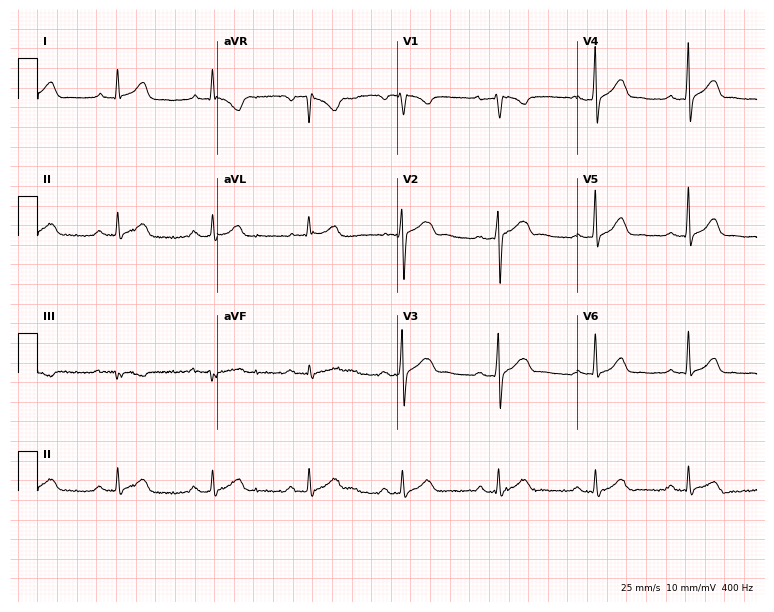
12-lead ECG (7.3-second recording at 400 Hz) from a male patient, 37 years old. Screened for six findings — first-degree AV block, right bundle branch block, left bundle branch block, sinus bradycardia, atrial fibrillation, sinus tachycardia — none is recorded.